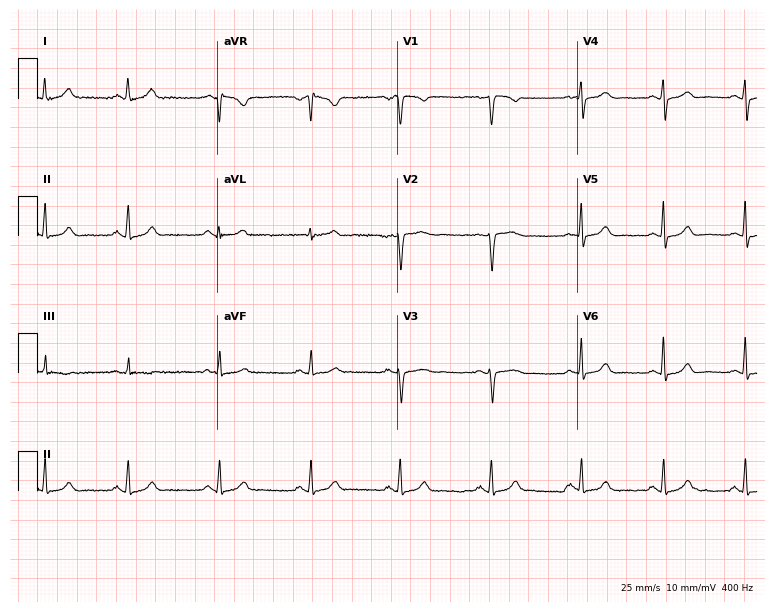
Electrocardiogram, a woman, 34 years old. Overall reading on record: normal ECG.